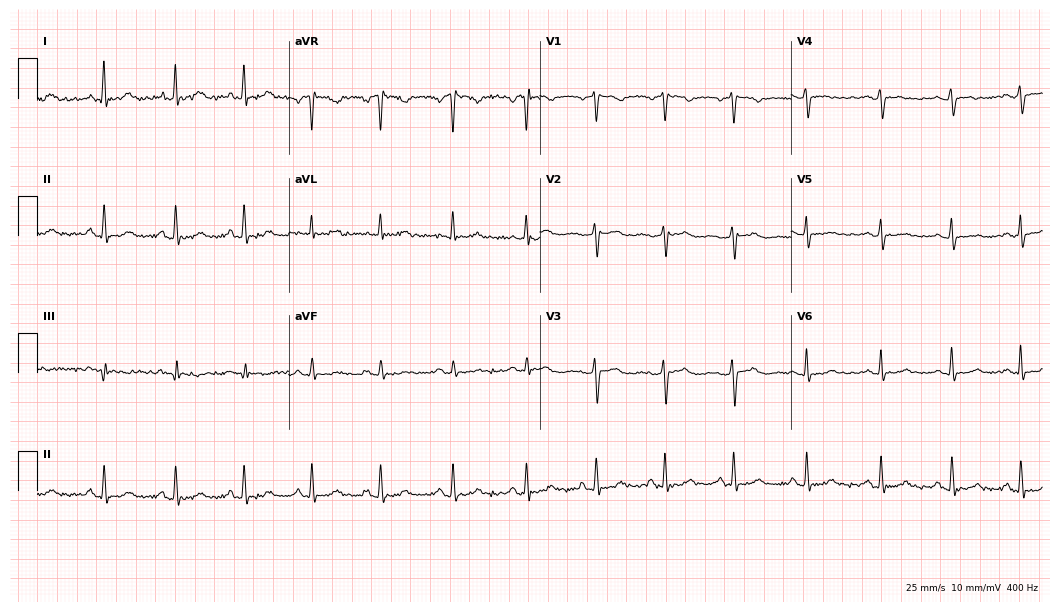
Electrocardiogram, a woman, 44 years old. Of the six screened findings (first-degree AV block, right bundle branch block, left bundle branch block, sinus bradycardia, atrial fibrillation, sinus tachycardia), none is recorded. Other findings, if any, are not listed.